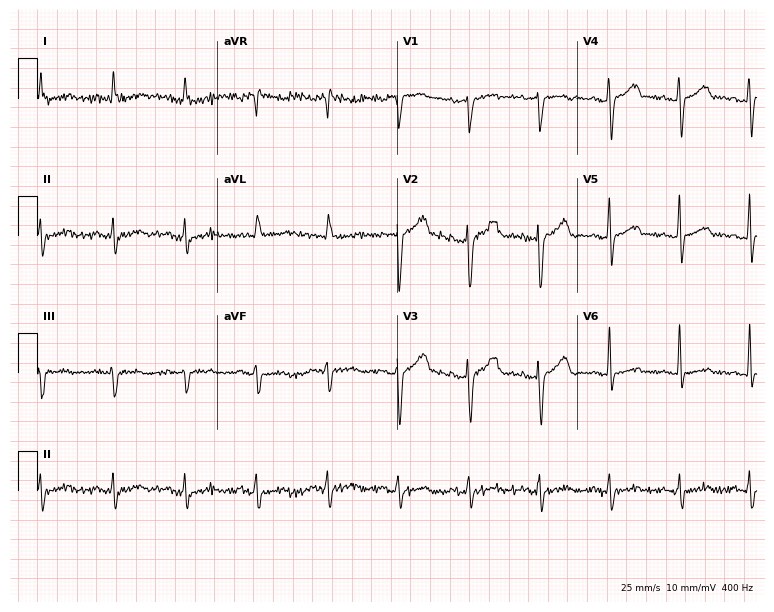
Electrocardiogram, a male patient, 75 years old. Of the six screened findings (first-degree AV block, right bundle branch block, left bundle branch block, sinus bradycardia, atrial fibrillation, sinus tachycardia), none is recorded.